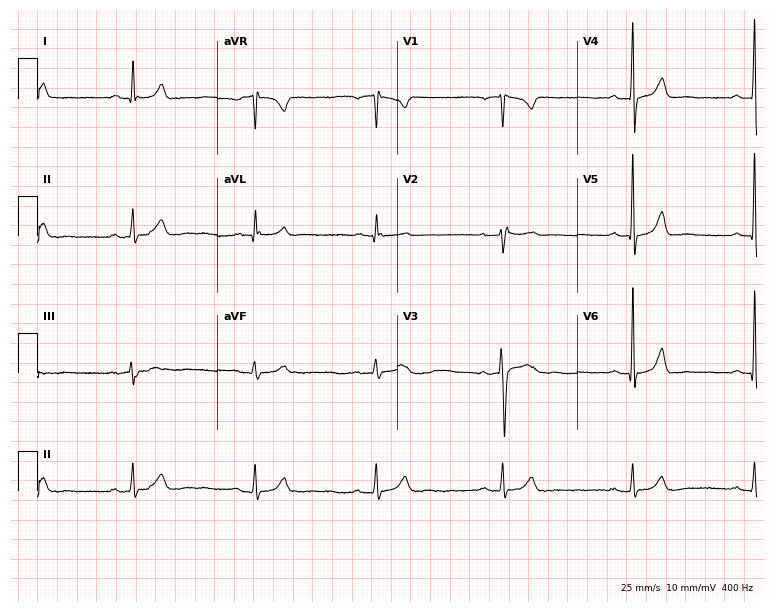
Standard 12-lead ECG recorded from a 44-year-old man. Read as a normal ECG.